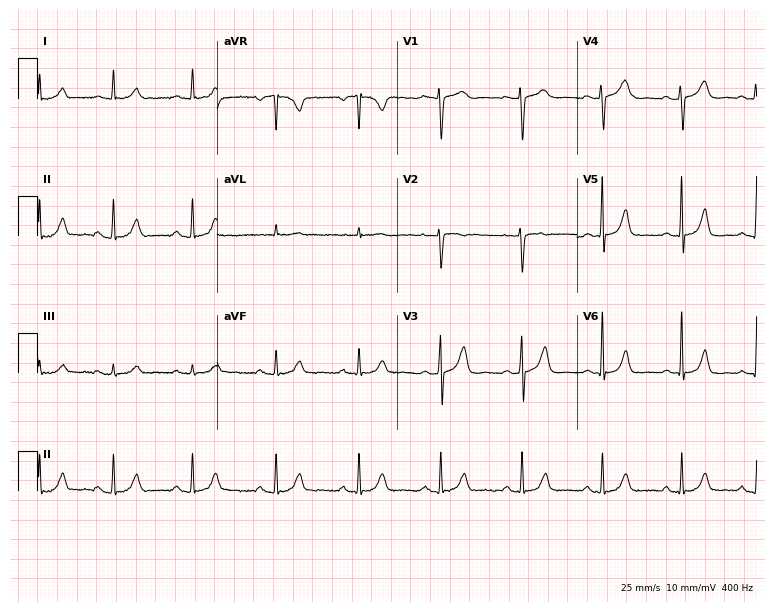
12-lead ECG (7.3-second recording at 400 Hz) from a 32-year-old female. Labelled as a normal ECG.